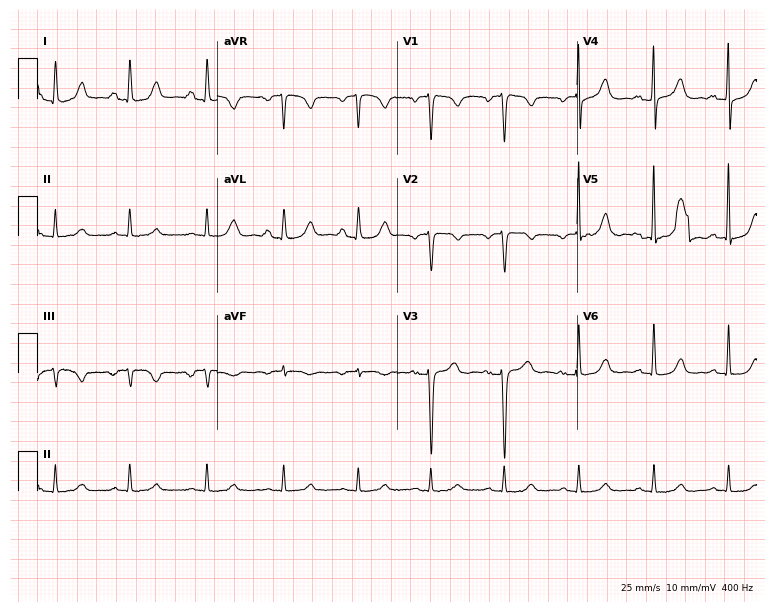
Electrocardiogram, a 71-year-old female patient. Of the six screened findings (first-degree AV block, right bundle branch block, left bundle branch block, sinus bradycardia, atrial fibrillation, sinus tachycardia), none is recorded. Other findings, if any, are not listed.